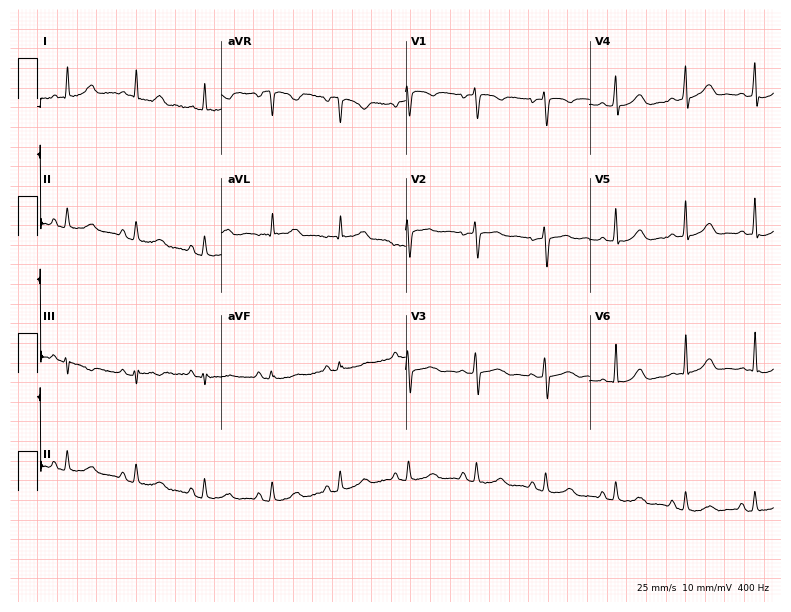
Electrocardiogram, a female patient, 48 years old. Overall reading on record: normal ECG.